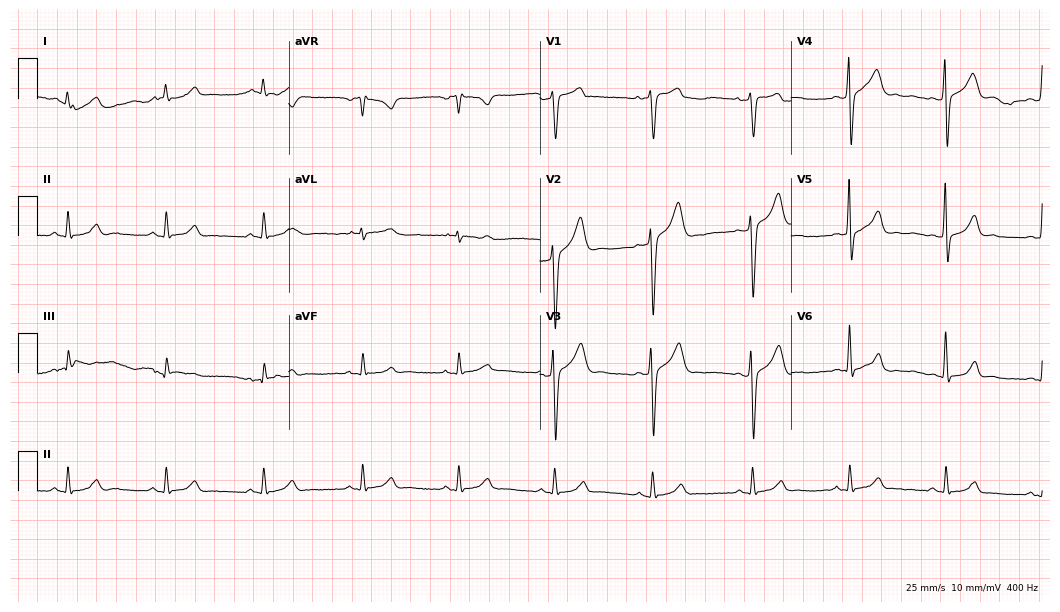
12-lead ECG (10.2-second recording at 400 Hz) from a male, 39 years old. Labelled as a normal ECG.